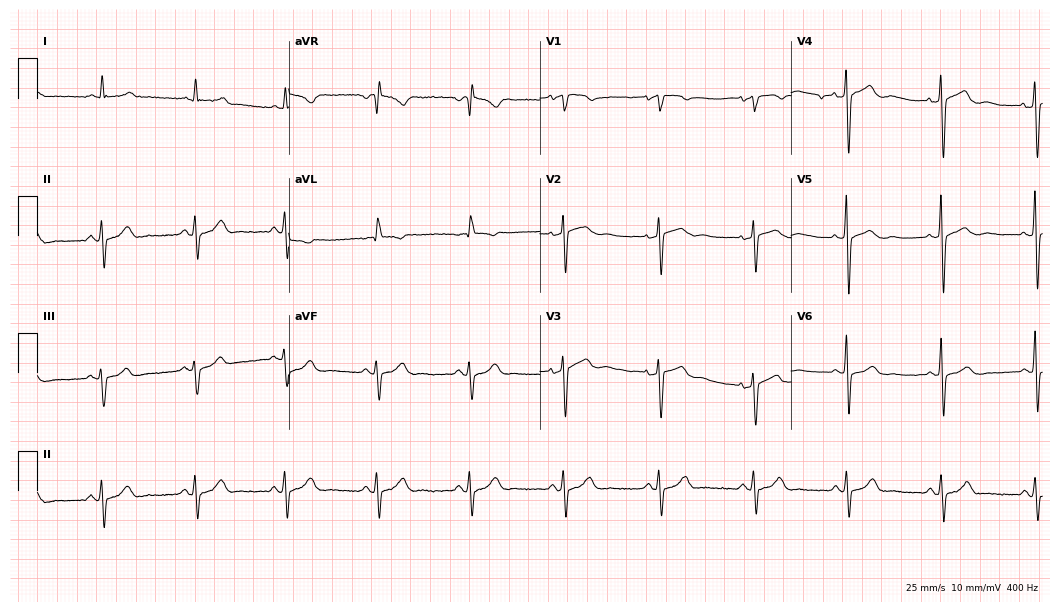
Electrocardiogram, an 80-year-old female patient. Of the six screened findings (first-degree AV block, right bundle branch block, left bundle branch block, sinus bradycardia, atrial fibrillation, sinus tachycardia), none is recorded.